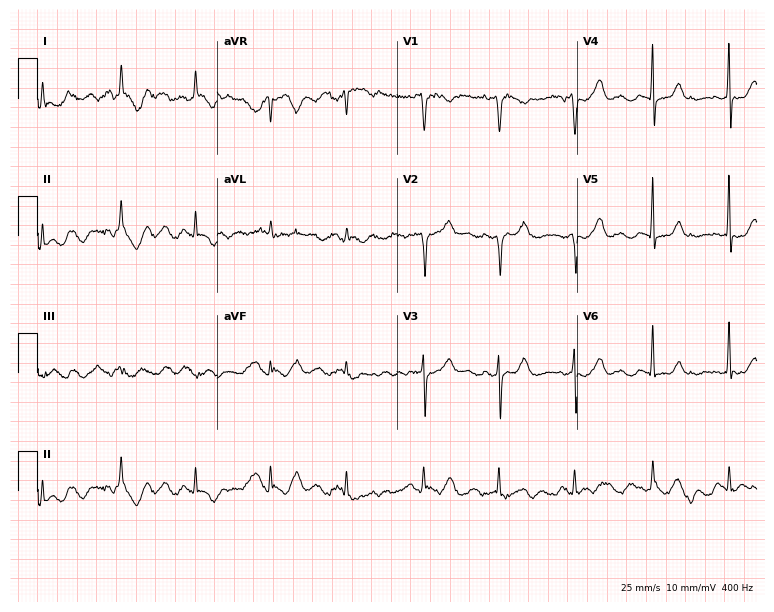
Standard 12-lead ECG recorded from an 85-year-old female (7.3-second recording at 400 Hz). None of these six findings is recorded: first-degree AV block, right bundle branch block, left bundle branch block, sinus bradycardia, atrial fibrillation, sinus tachycardia. Other findings, if any, are not listed.